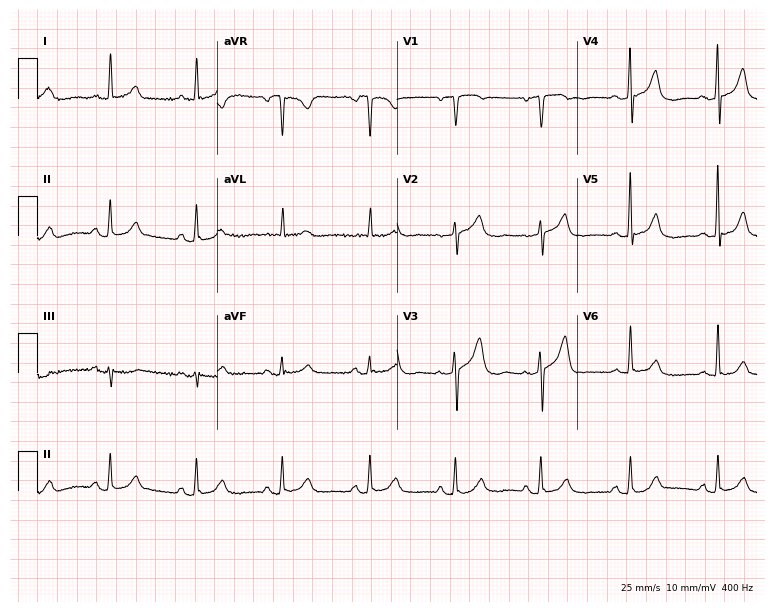
Electrocardiogram (7.3-second recording at 400 Hz), a woman, 75 years old. Overall reading on record: normal ECG.